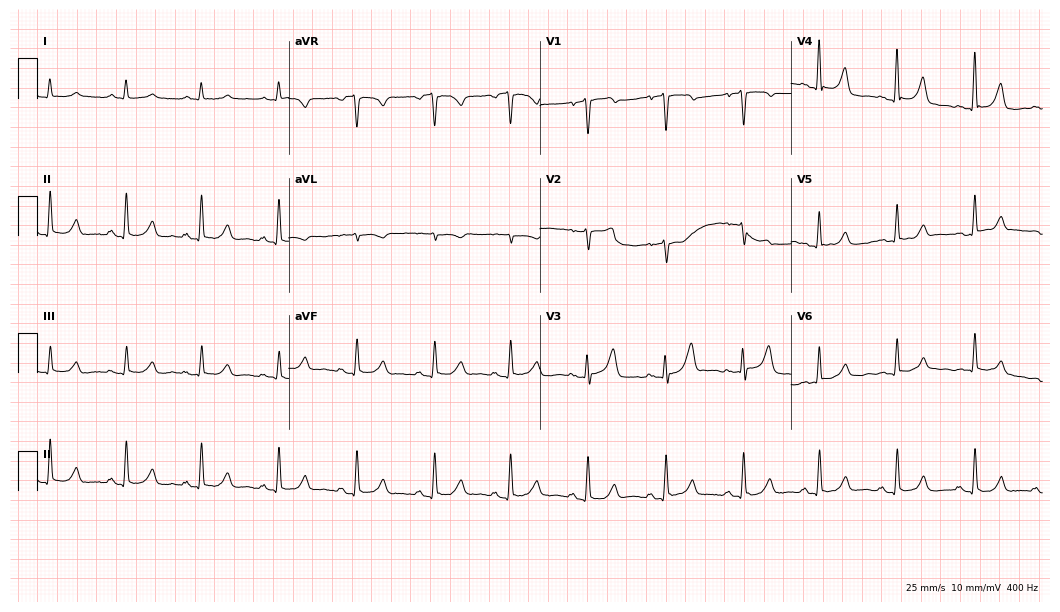
12-lead ECG from a 48-year-old male. Labelled as a normal ECG.